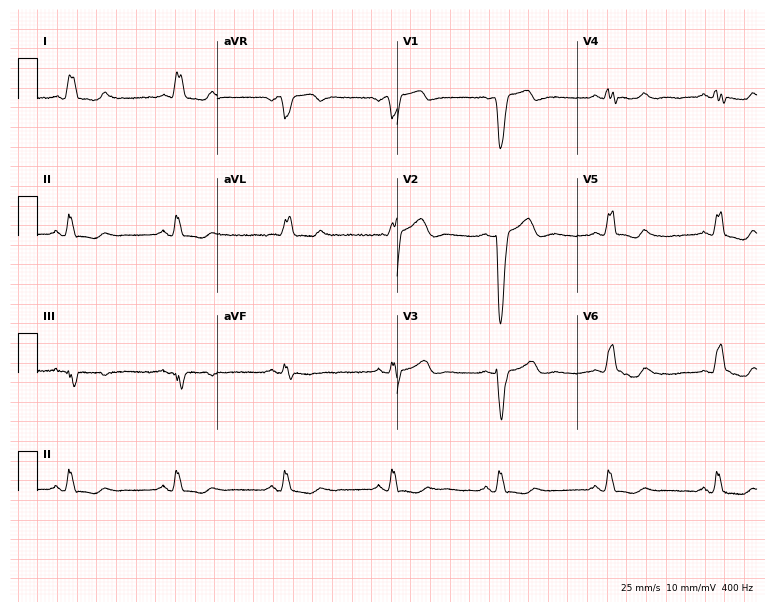
12-lead ECG (7.3-second recording at 400 Hz) from a woman, 60 years old. Findings include left bundle branch block.